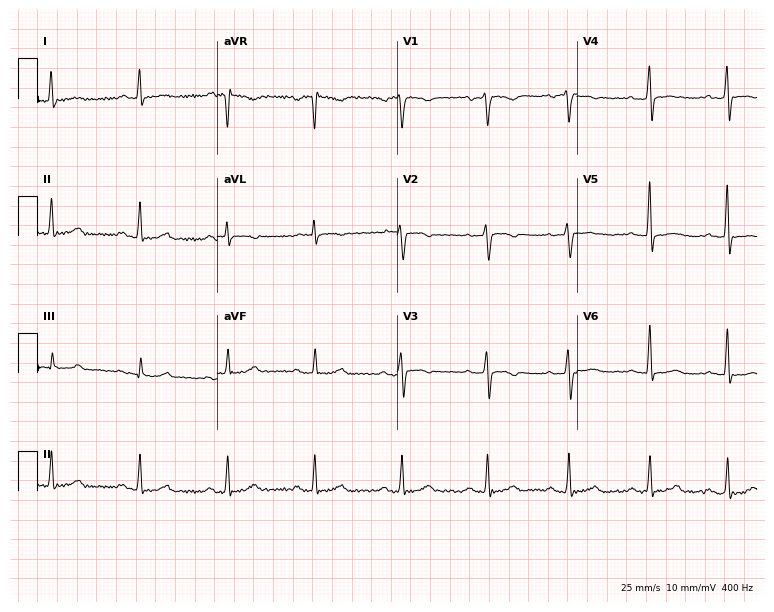
Resting 12-lead electrocardiogram. Patient: a female, 41 years old. None of these six findings is recorded: first-degree AV block, right bundle branch block, left bundle branch block, sinus bradycardia, atrial fibrillation, sinus tachycardia. Findings outside these six are not listed.